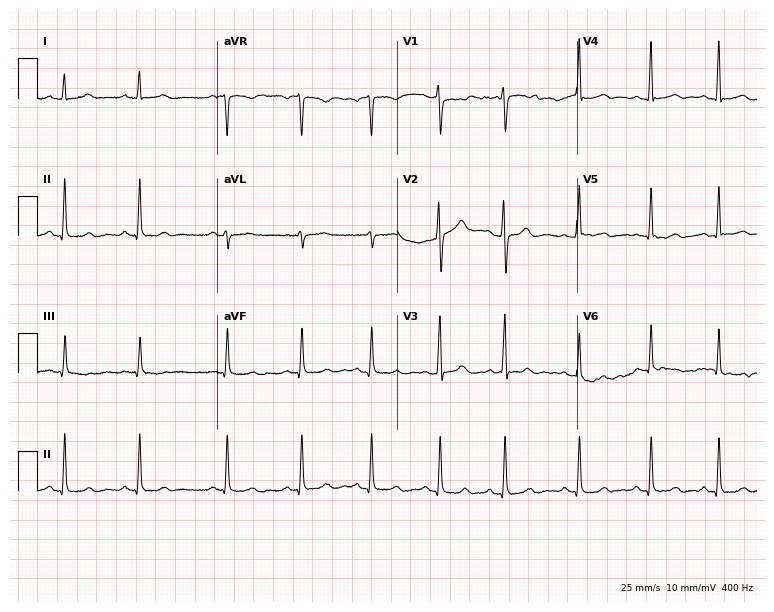
Resting 12-lead electrocardiogram (7.3-second recording at 400 Hz). Patient: a female, 34 years old. None of these six findings is recorded: first-degree AV block, right bundle branch block, left bundle branch block, sinus bradycardia, atrial fibrillation, sinus tachycardia.